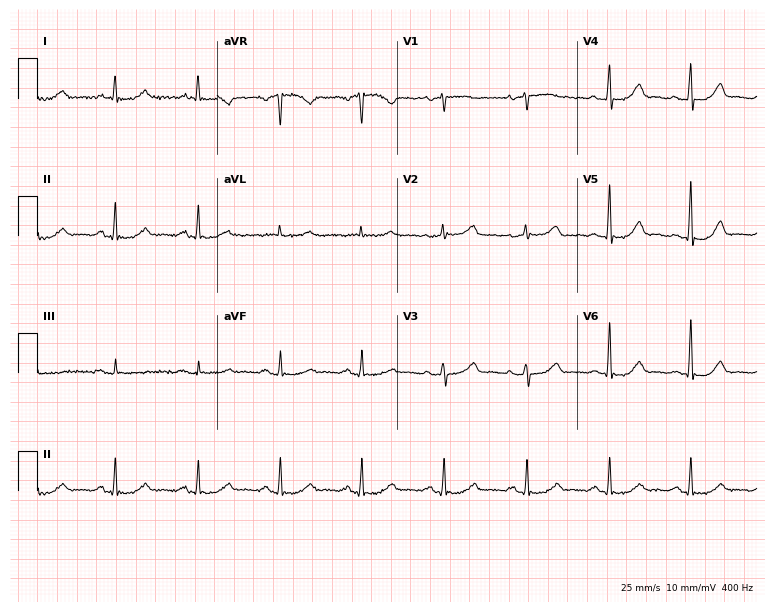
ECG (7.3-second recording at 400 Hz) — a female patient, 77 years old. Labelled as a normal ECG.